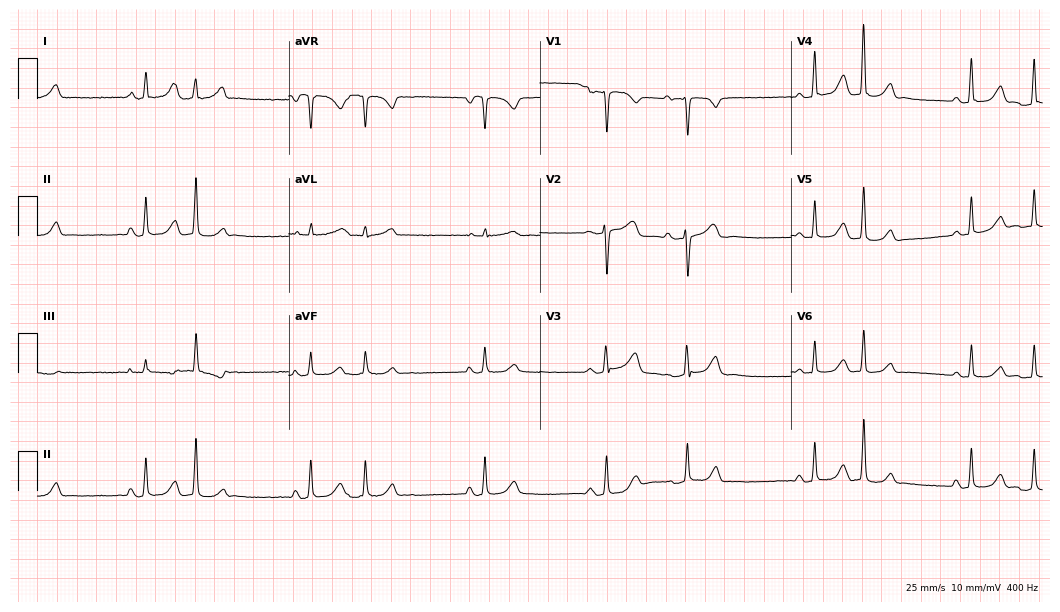
ECG (10.2-second recording at 400 Hz) — a female patient, 24 years old. Screened for six findings — first-degree AV block, right bundle branch block, left bundle branch block, sinus bradycardia, atrial fibrillation, sinus tachycardia — none is recorded.